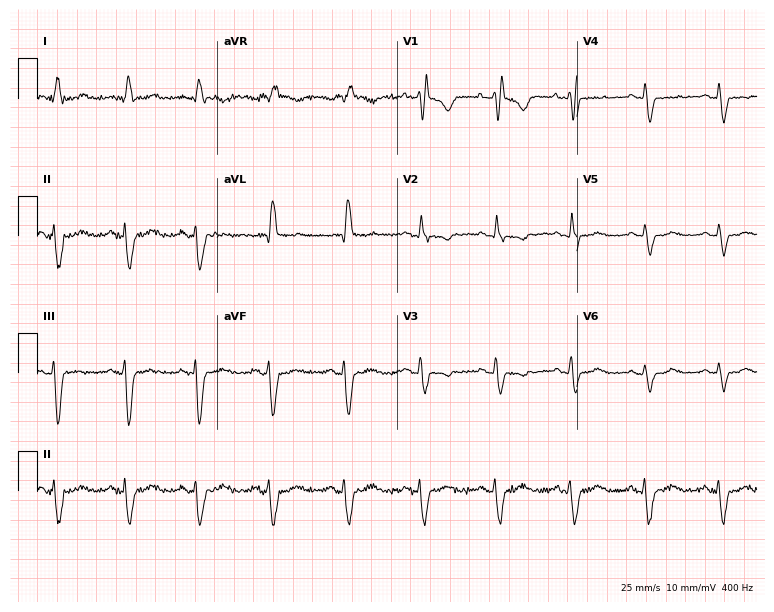
12-lead ECG (7.3-second recording at 400 Hz) from a female, 83 years old. Screened for six findings — first-degree AV block, right bundle branch block, left bundle branch block, sinus bradycardia, atrial fibrillation, sinus tachycardia — none is recorded. Other findings, if any, are not listed.